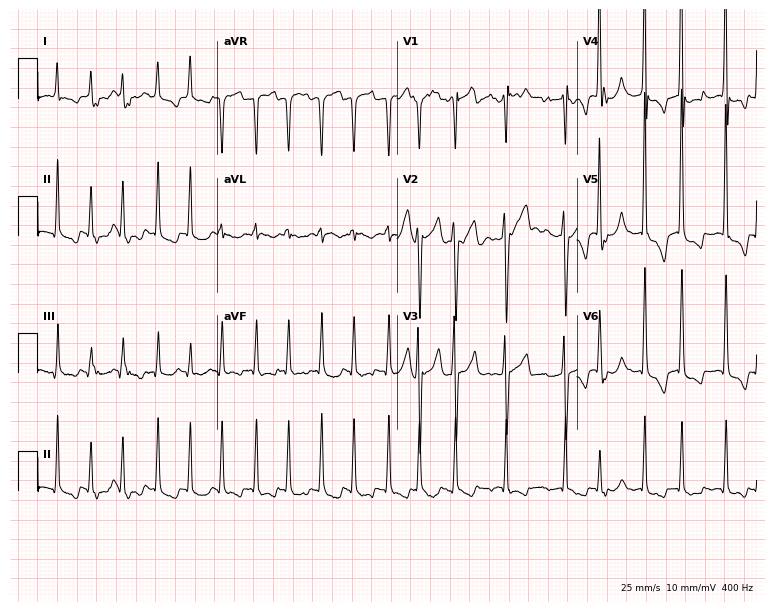
Electrocardiogram (7.3-second recording at 400 Hz), a male, 67 years old. Interpretation includes atrial fibrillation (AF).